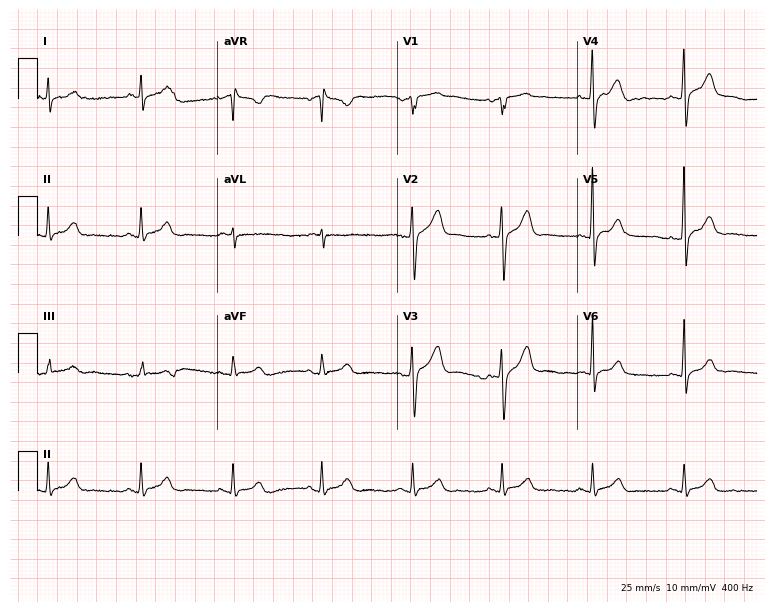
Resting 12-lead electrocardiogram (7.3-second recording at 400 Hz). Patient: a 39-year-old man. Read as a normal ECG.